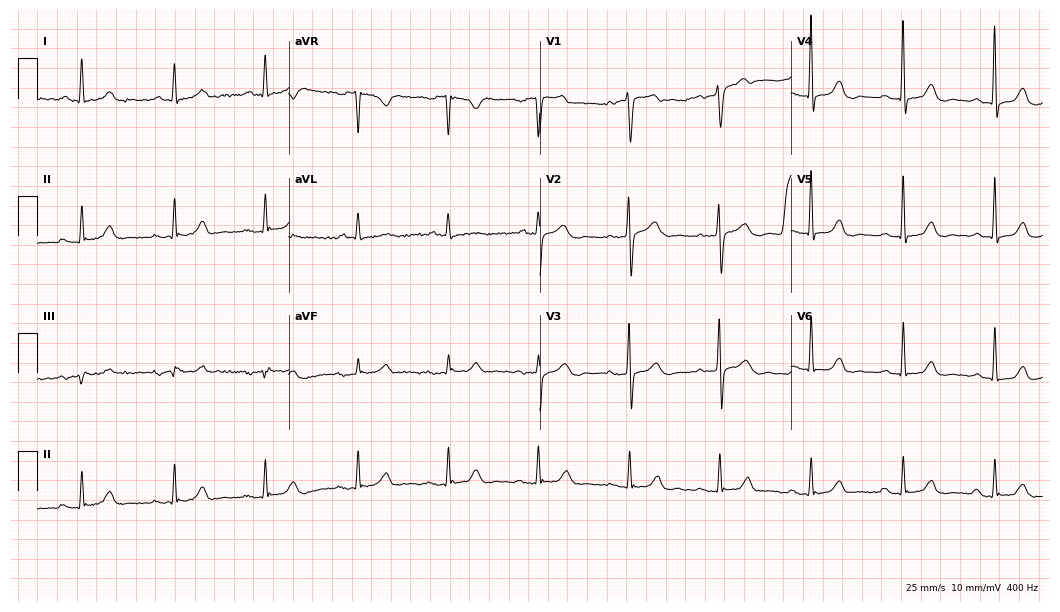
ECG — a female, 79 years old. Screened for six findings — first-degree AV block, right bundle branch block (RBBB), left bundle branch block (LBBB), sinus bradycardia, atrial fibrillation (AF), sinus tachycardia — none is recorded. Other findings, if any, are not listed.